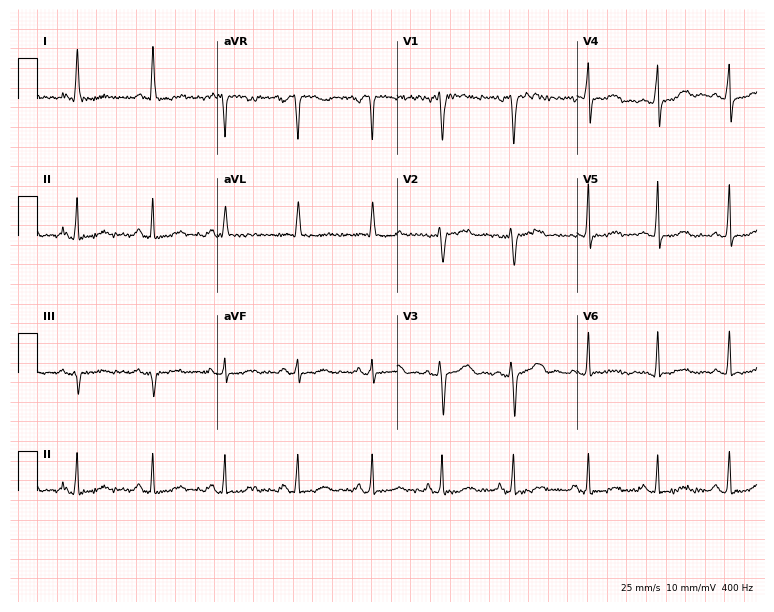
12-lead ECG from a 47-year-old female (7.3-second recording at 400 Hz). No first-degree AV block, right bundle branch block, left bundle branch block, sinus bradycardia, atrial fibrillation or sinus tachycardia recorded for this tracing. Only these six findings were labelled.